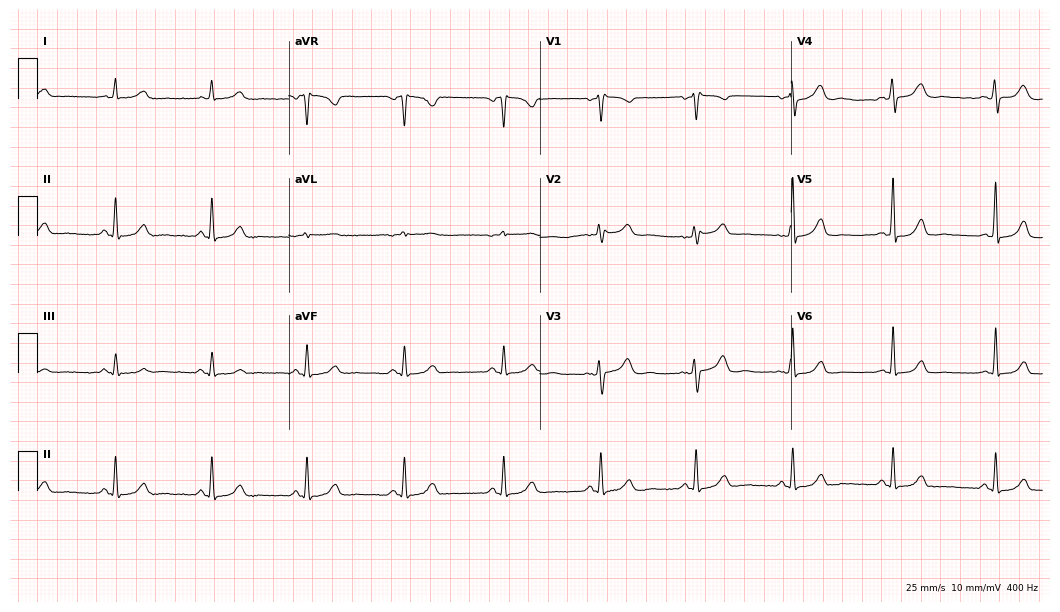
Electrocardiogram, a woman, 54 years old. Overall reading on record: normal ECG.